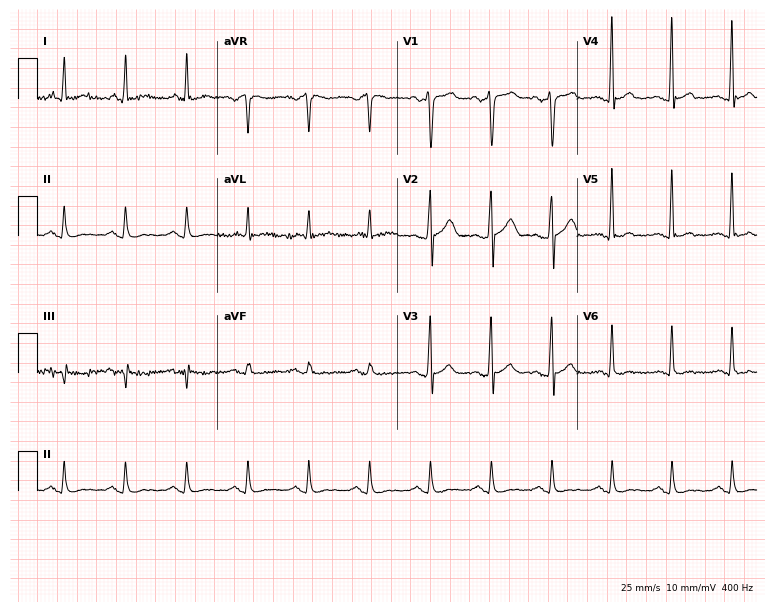
Resting 12-lead electrocardiogram (7.3-second recording at 400 Hz). Patient: a male, 69 years old. Read as a normal ECG.